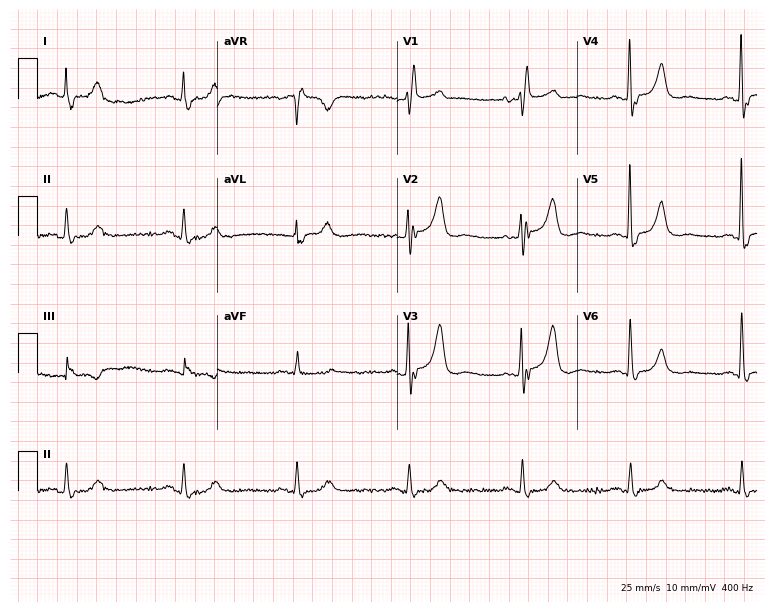
12-lead ECG (7.3-second recording at 400 Hz) from an 83-year-old female patient. Findings include right bundle branch block (RBBB).